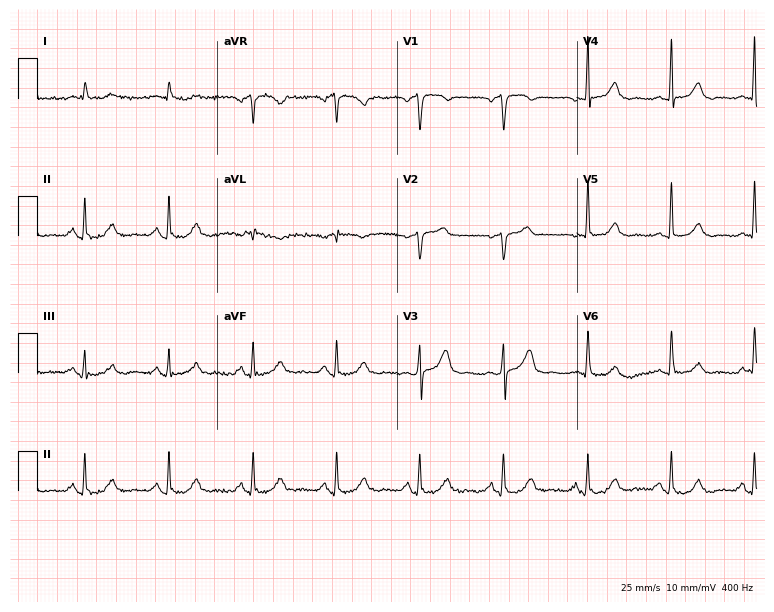
Resting 12-lead electrocardiogram. Patient: a male, 73 years old. None of these six findings is recorded: first-degree AV block, right bundle branch block, left bundle branch block, sinus bradycardia, atrial fibrillation, sinus tachycardia.